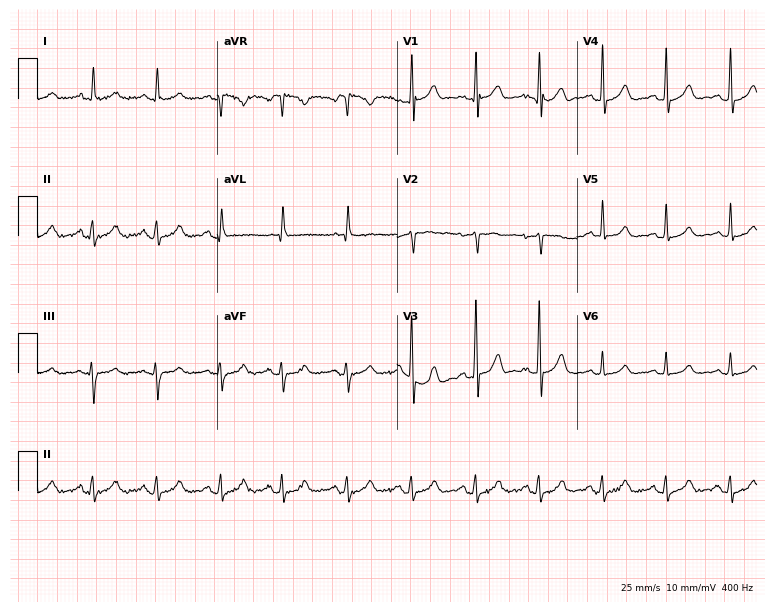
12-lead ECG from a female, 80 years old. Recorded interpretation: within normal limits.